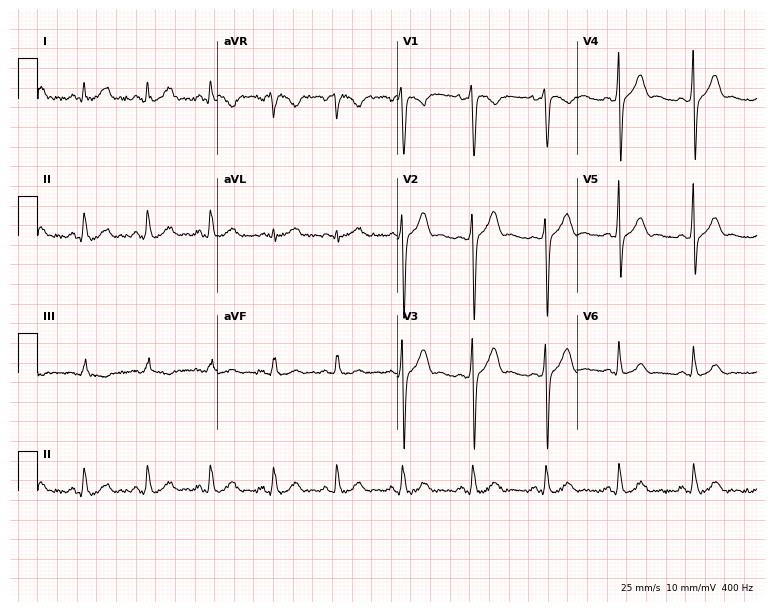
Resting 12-lead electrocardiogram (7.3-second recording at 400 Hz). Patient: a male, 43 years old. Read as a normal ECG.